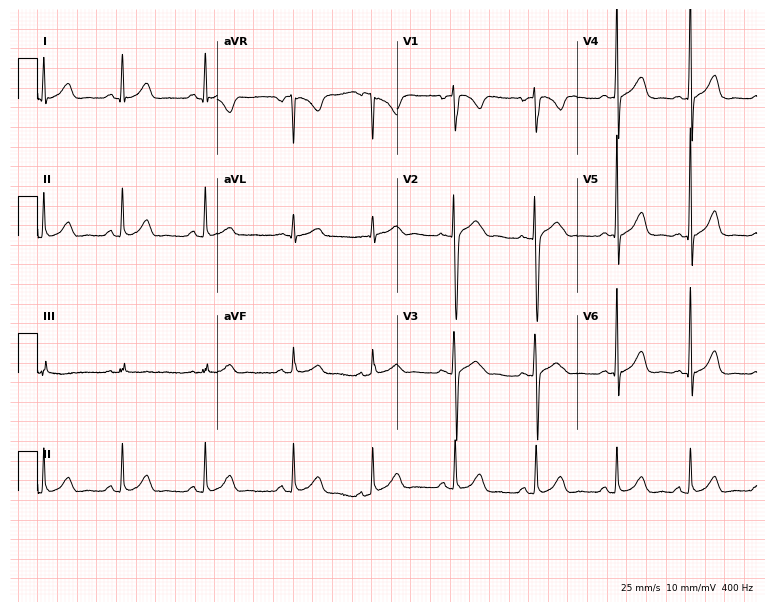
Standard 12-lead ECG recorded from a 17-year-old female patient. None of these six findings is recorded: first-degree AV block, right bundle branch block, left bundle branch block, sinus bradycardia, atrial fibrillation, sinus tachycardia.